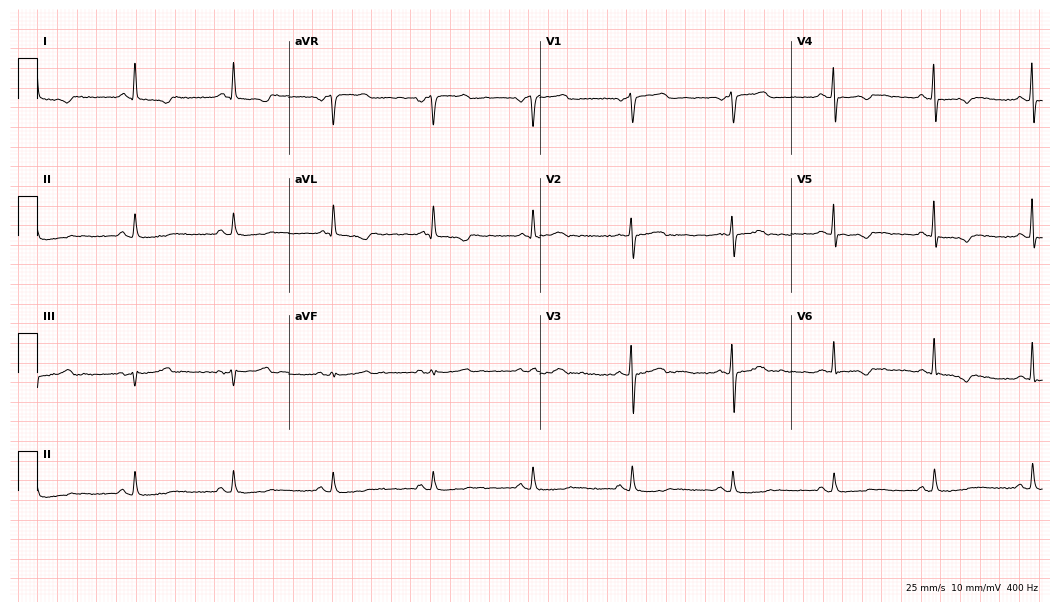
Standard 12-lead ECG recorded from a 69-year-old female (10.2-second recording at 400 Hz). None of these six findings is recorded: first-degree AV block, right bundle branch block, left bundle branch block, sinus bradycardia, atrial fibrillation, sinus tachycardia. Only these six findings were labelled.